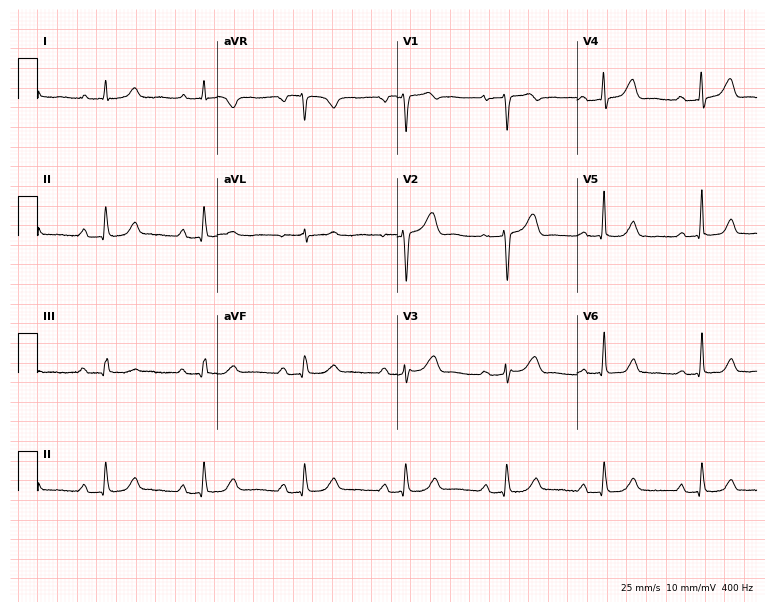
Standard 12-lead ECG recorded from a woman, 82 years old (7.3-second recording at 400 Hz). None of these six findings is recorded: first-degree AV block, right bundle branch block (RBBB), left bundle branch block (LBBB), sinus bradycardia, atrial fibrillation (AF), sinus tachycardia.